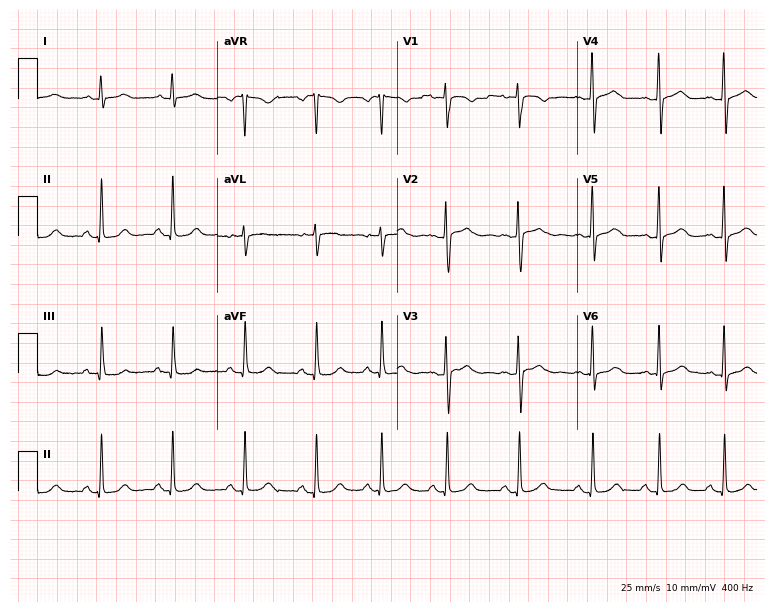
12-lead ECG (7.3-second recording at 400 Hz) from a 27-year-old female patient. Screened for six findings — first-degree AV block, right bundle branch block, left bundle branch block, sinus bradycardia, atrial fibrillation, sinus tachycardia — none is recorded. Other findings, if any, are not listed.